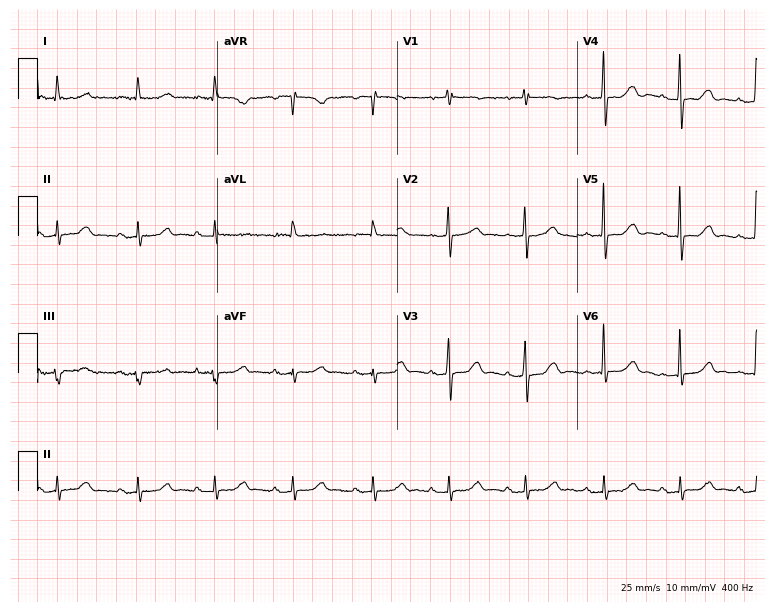
12-lead ECG from an 85-year-old female patient. Labelled as a normal ECG.